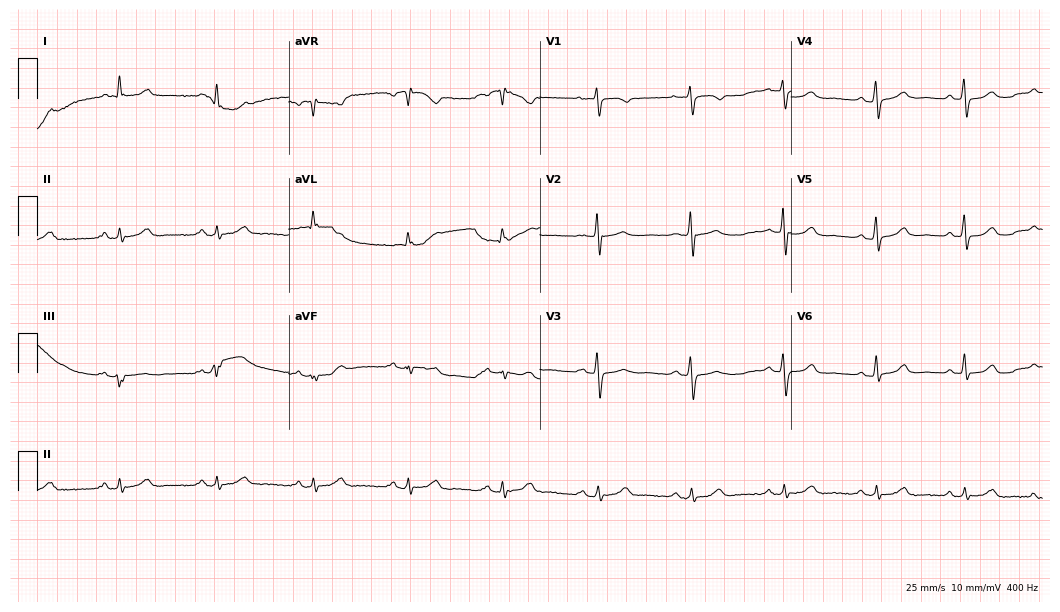
Resting 12-lead electrocardiogram (10.2-second recording at 400 Hz). Patient: a 70-year-old woman. Read as a normal ECG.